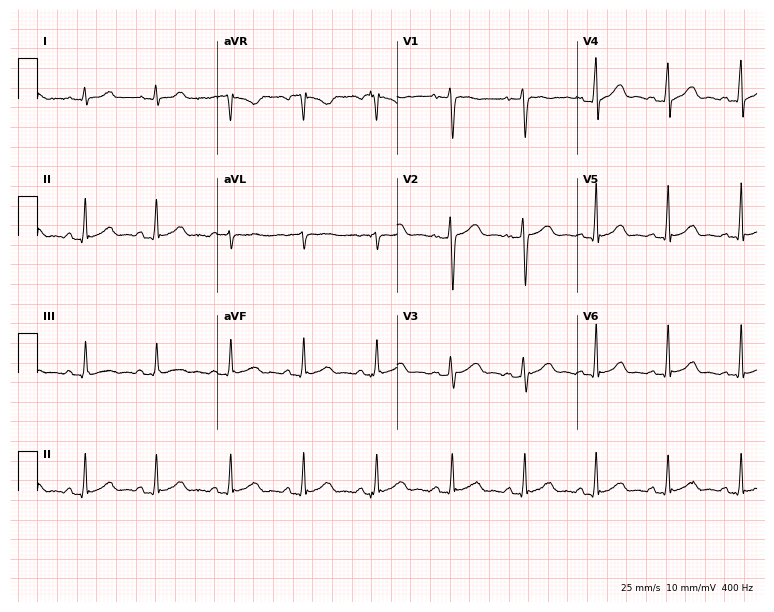
Electrocardiogram (7.3-second recording at 400 Hz), a 30-year-old female patient. Overall reading on record: normal ECG.